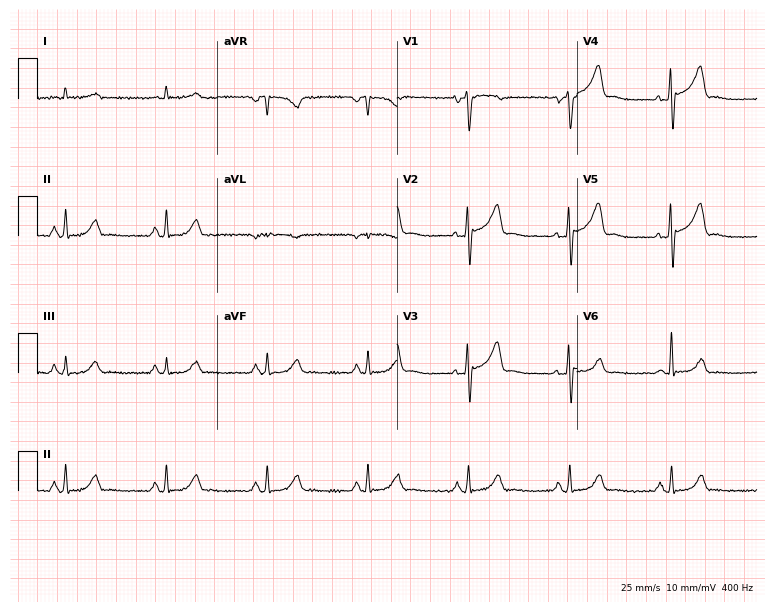
Resting 12-lead electrocardiogram (7.3-second recording at 400 Hz). Patient: a 61-year-old male. Read as a normal ECG.